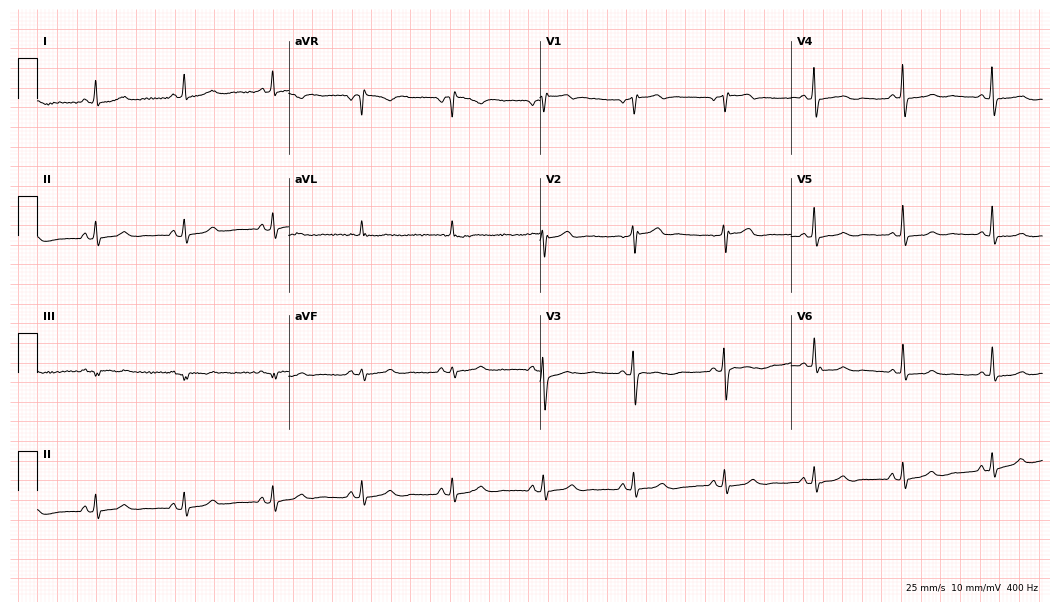
12-lead ECG (10.2-second recording at 400 Hz) from a female, 50 years old. Labelled as a normal ECG.